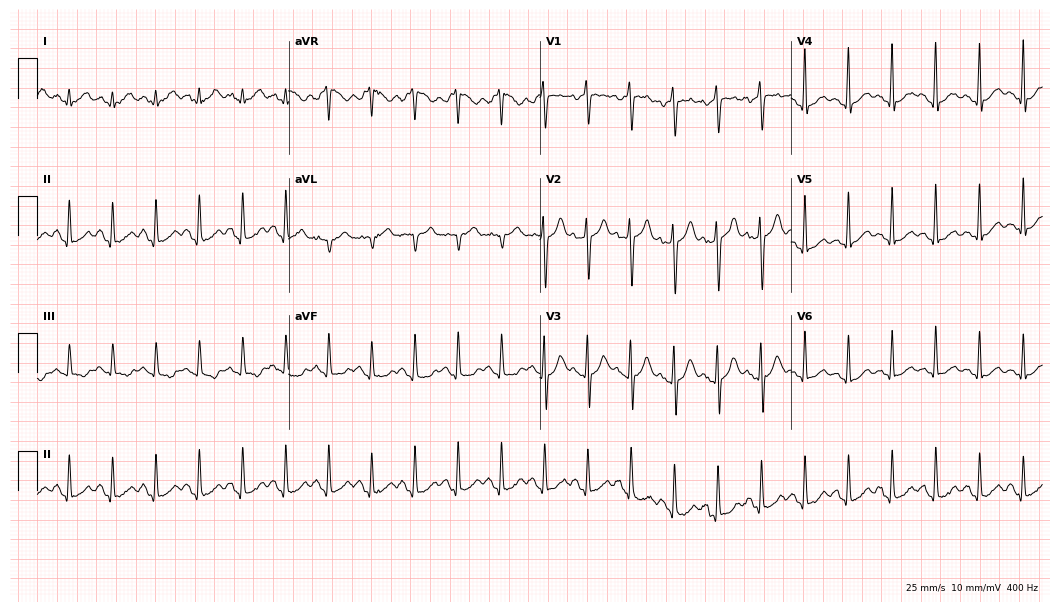
ECG (10.2-second recording at 400 Hz) — a 19-year-old man. Findings include sinus tachycardia (a sinus rate of 100 beats per minute or more).